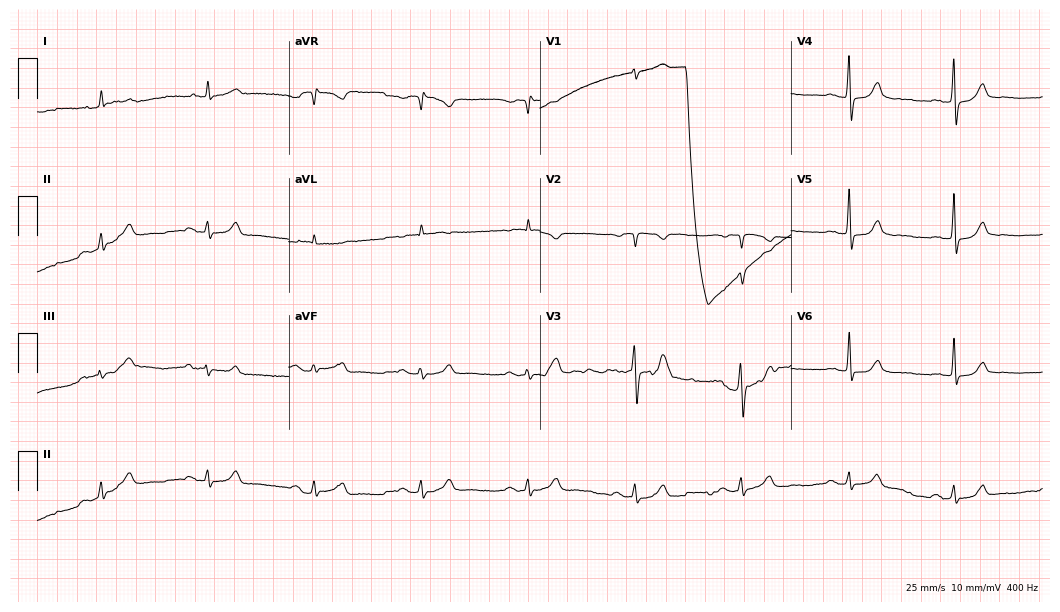
Standard 12-lead ECG recorded from a male patient, 74 years old. Read as a normal ECG.